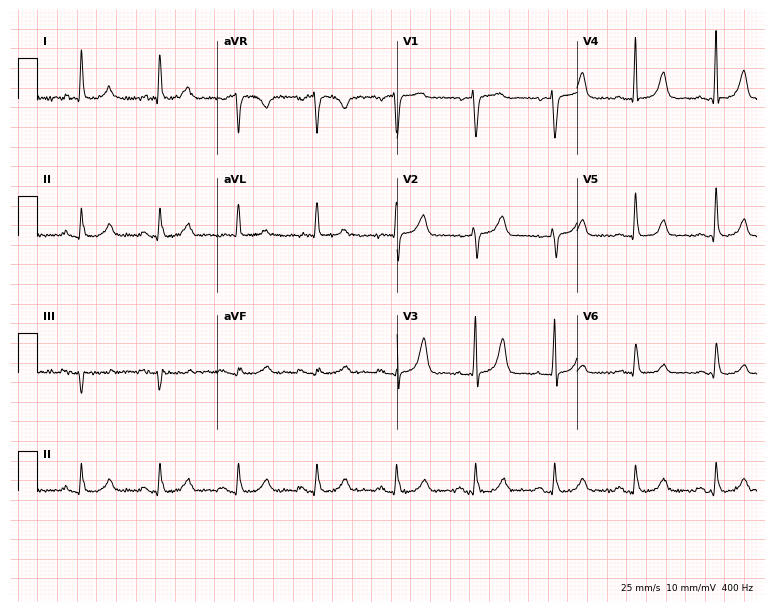
ECG (7.3-second recording at 400 Hz) — a 75-year-old woman. Screened for six findings — first-degree AV block, right bundle branch block (RBBB), left bundle branch block (LBBB), sinus bradycardia, atrial fibrillation (AF), sinus tachycardia — none is recorded.